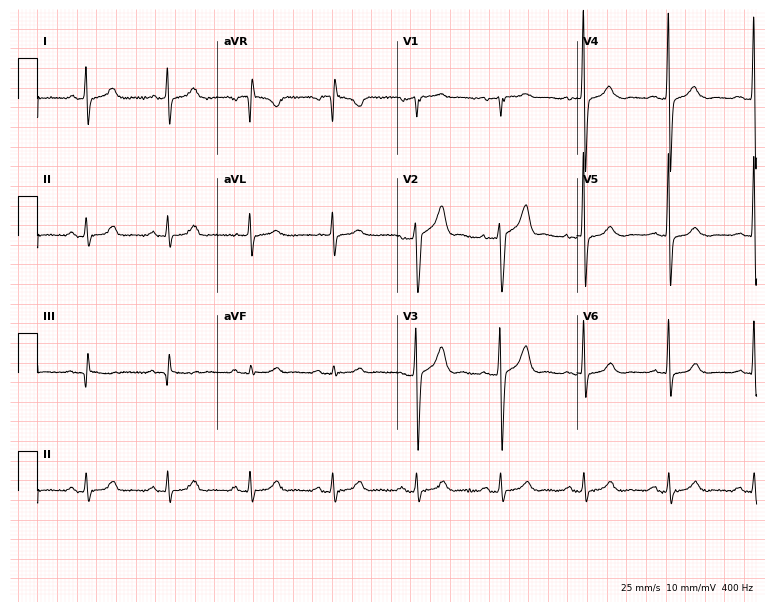
12-lead ECG from a 43-year-old male patient (7.3-second recording at 400 Hz). Recorded interpretation: within normal limits.